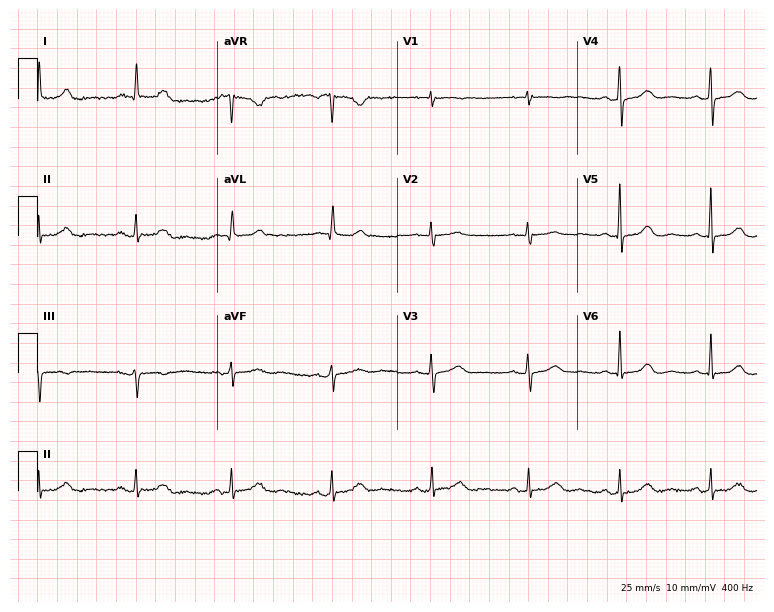
12-lead ECG from a 55-year-old woman (7.3-second recording at 400 Hz). Recorded interpretation: within normal limits.